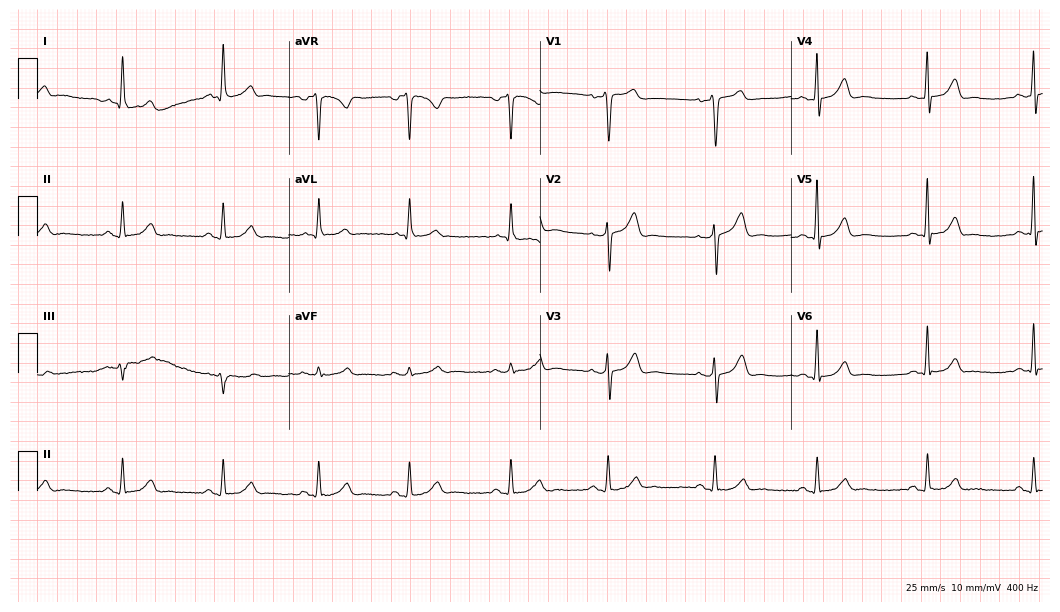
12-lead ECG from a 48-year-old woman (10.2-second recording at 400 Hz). Recorded interpretation: within normal limits.